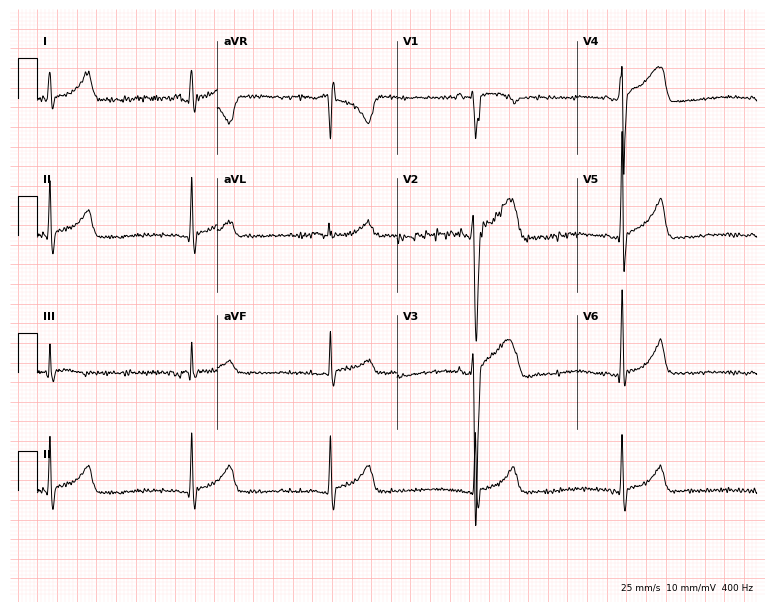
Resting 12-lead electrocardiogram (7.3-second recording at 400 Hz). Patient: a male, 18 years old. The tracing shows sinus bradycardia (a sinus rate of 50 beats per minute or less).